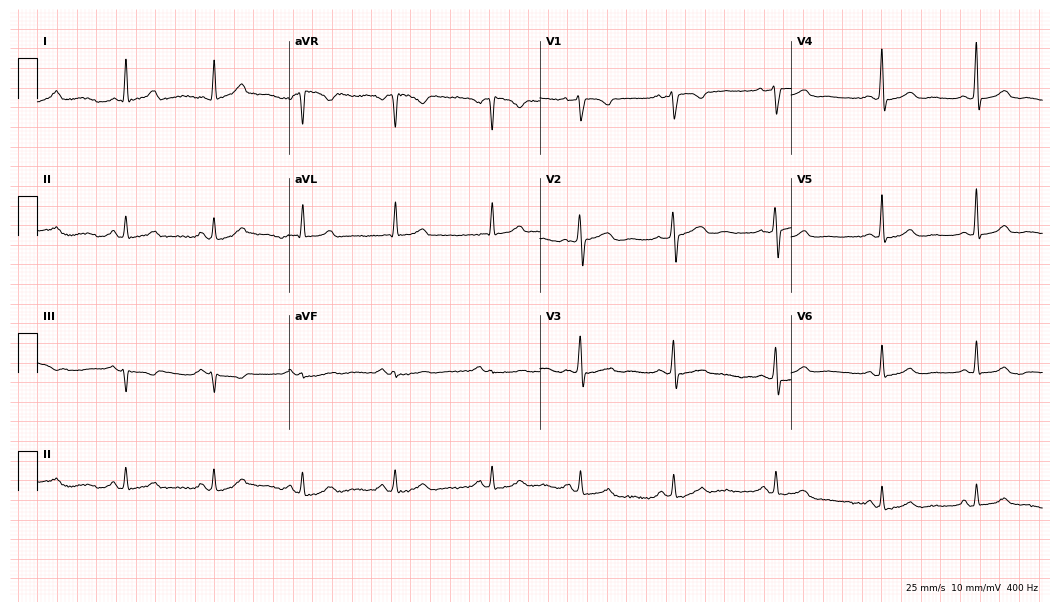
Standard 12-lead ECG recorded from a 40-year-old female (10.2-second recording at 400 Hz). Read as a normal ECG.